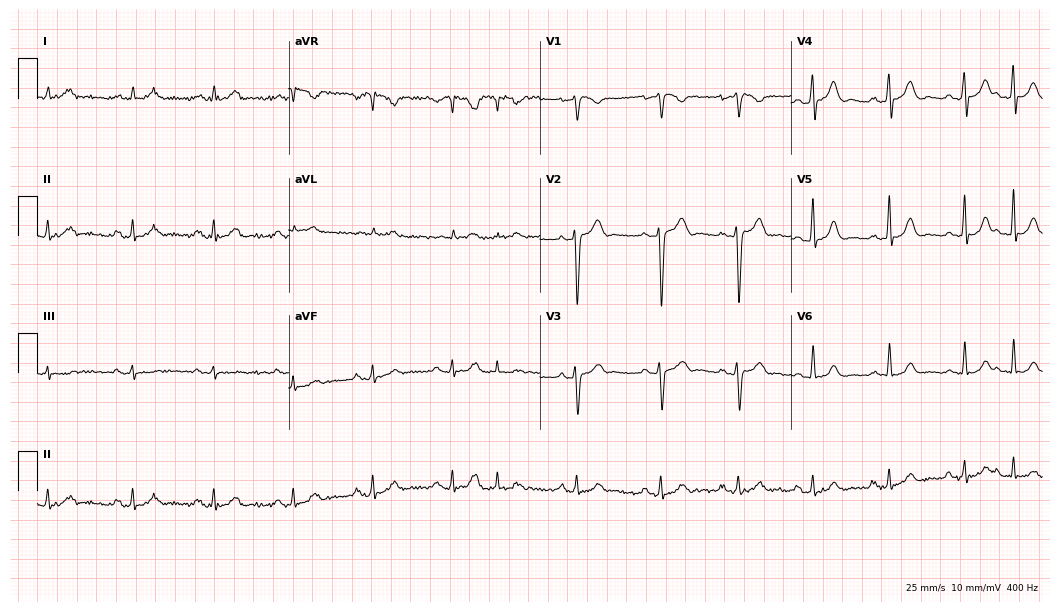
12-lead ECG (10.2-second recording at 400 Hz) from a male patient, 43 years old. Labelled as a normal ECG.